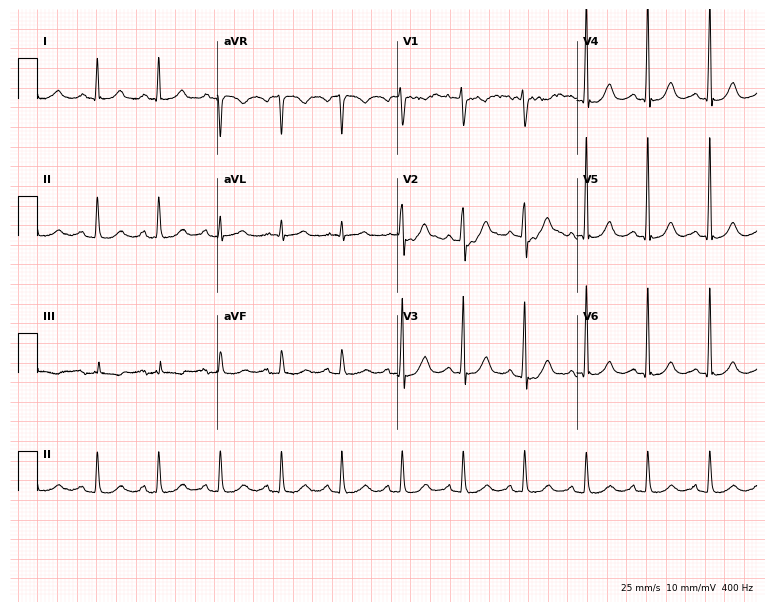
12-lead ECG from a female patient, 55 years old (7.3-second recording at 400 Hz). No first-degree AV block, right bundle branch block, left bundle branch block, sinus bradycardia, atrial fibrillation or sinus tachycardia recorded for this tracing.